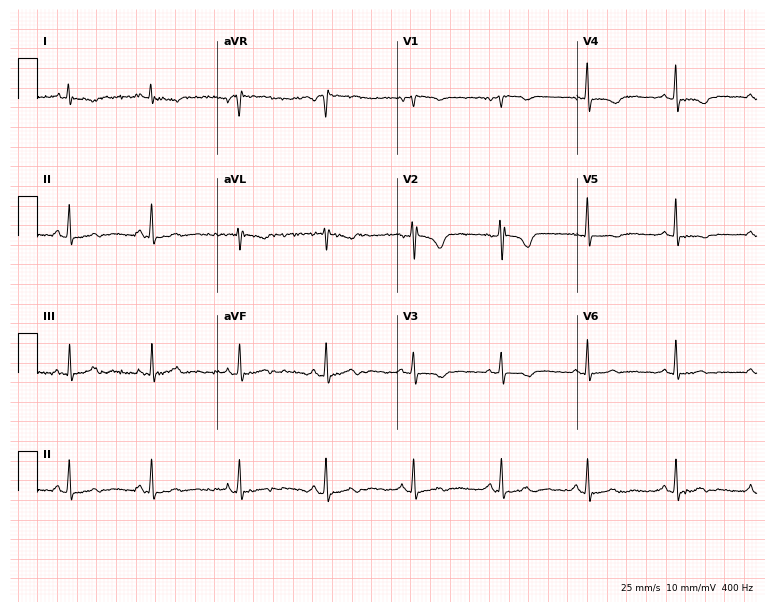
Resting 12-lead electrocardiogram. Patient: a 43-year-old woman. None of these six findings is recorded: first-degree AV block, right bundle branch block, left bundle branch block, sinus bradycardia, atrial fibrillation, sinus tachycardia.